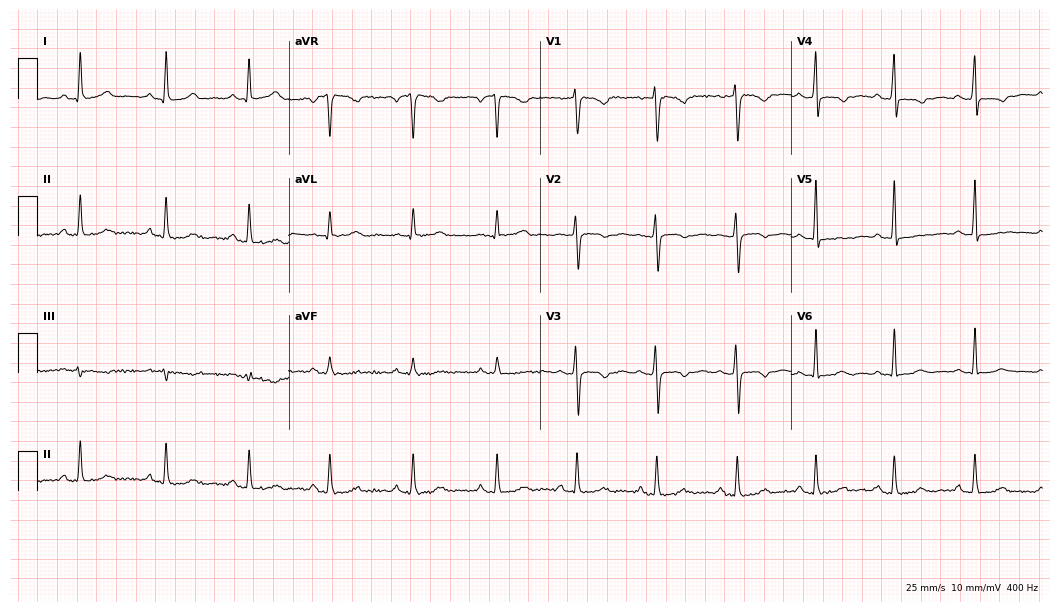
Electrocardiogram (10.2-second recording at 400 Hz), a woman, 47 years old. Of the six screened findings (first-degree AV block, right bundle branch block, left bundle branch block, sinus bradycardia, atrial fibrillation, sinus tachycardia), none is recorded.